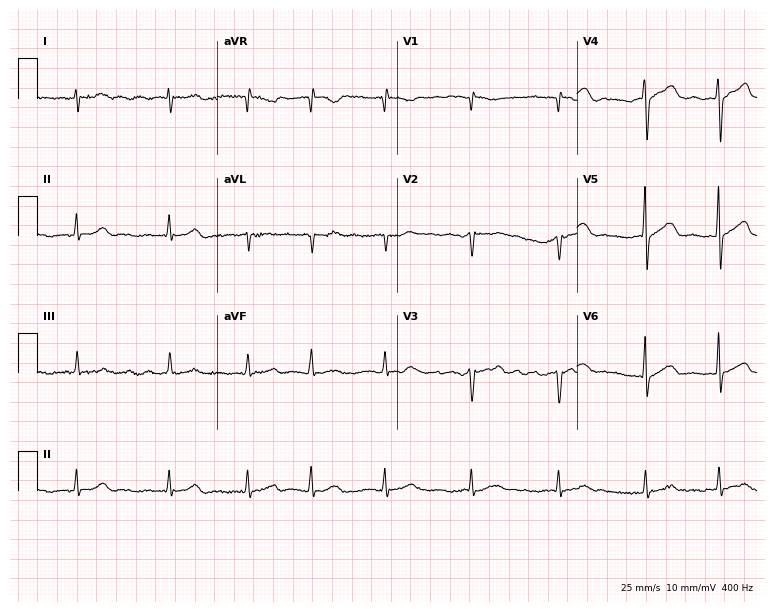
Standard 12-lead ECG recorded from a male, 67 years old (7.3-second recording at 400 Hz). The tracing shows atrial fibrillation.